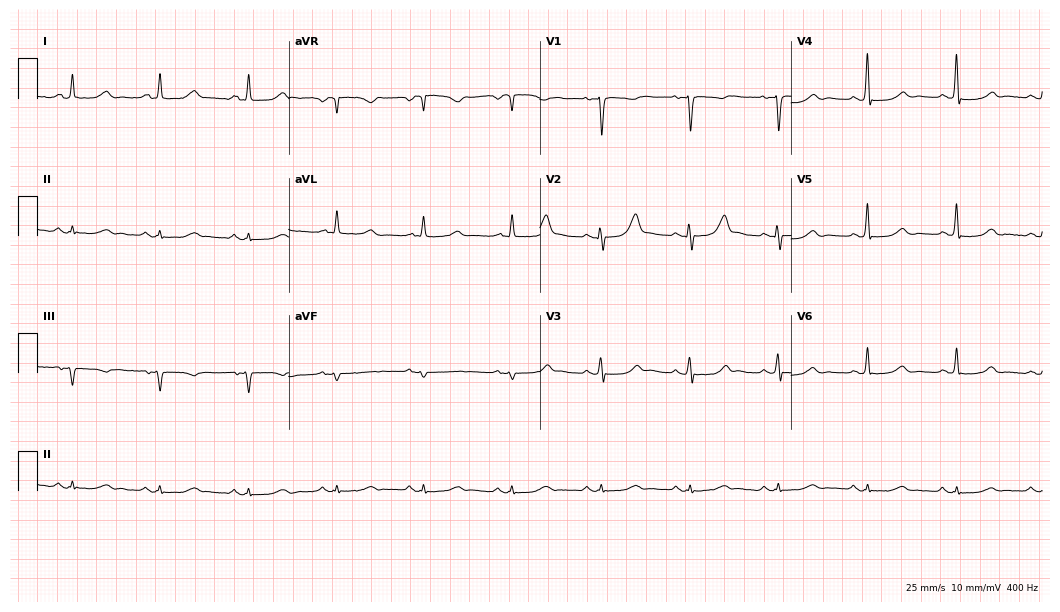
Standard 12-lead ECG recorded from a 62-year-old man (10.2-second recording at 400 Hz). None of these six findings is recorded: first-degree AV block, right bundle branch block, left bundle branch block, sinus bradycardia, atrial fibrillation, sinus tachycardia.